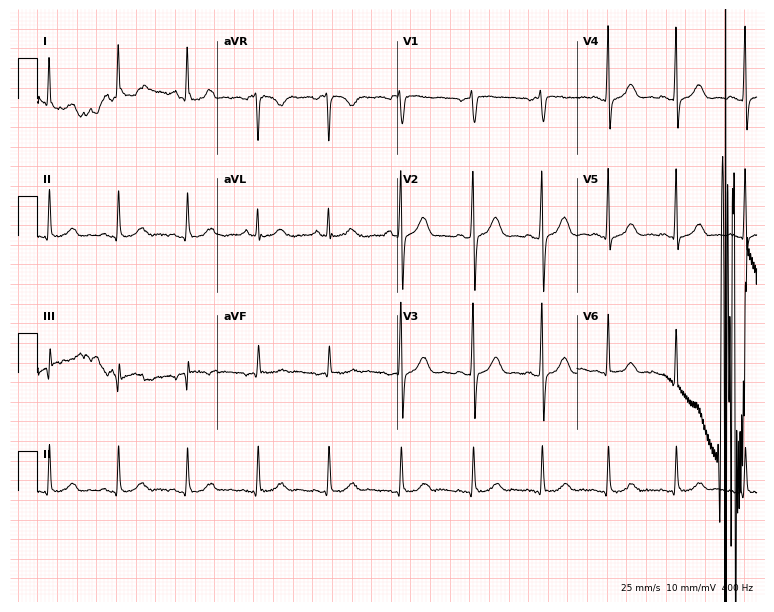
ECG (7.3-second recording at 400 Hz) — a 49-year-old woman. Labelled as a normal ECG.